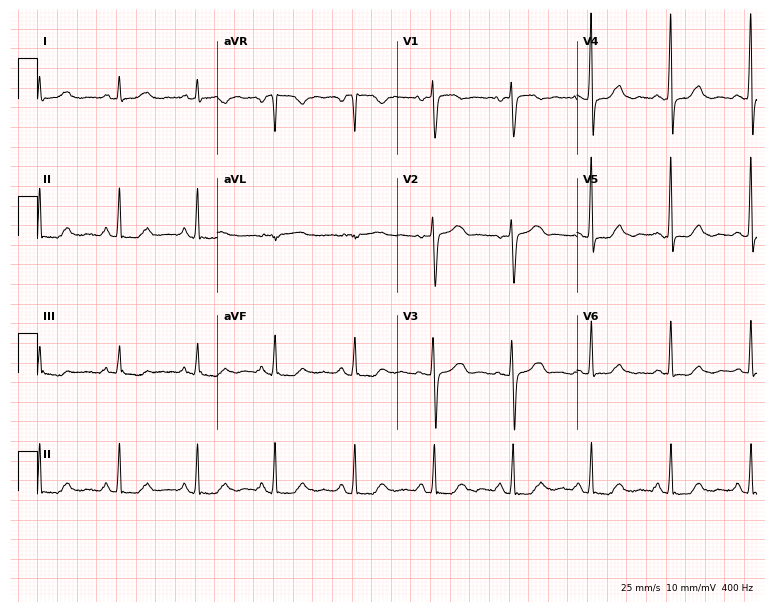
12-lead ECG (7.3-second recording at 400 Hz) from a 59-year-old female patient. Screened for six findings — first-degree AV block, right bundle branch block, left bundle branch block, sinus bradycardia, atrial fibrillation, sinus tachycardia — none is recorded. Other findings, if any, are not listed.